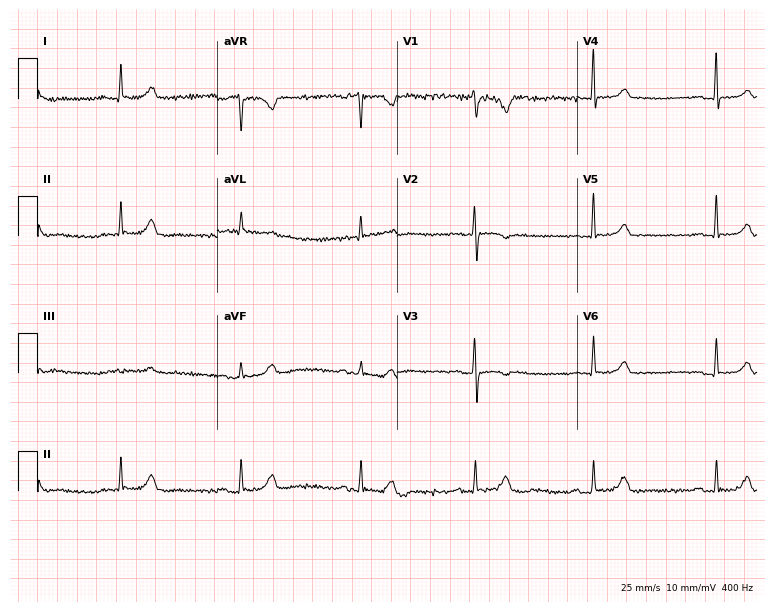
12-lead ECG (7.3-second recording at 400 Hz) from a 65-year-old woman. Screened for six findings — first-degree AV block, right bundle branch block, left bundle branch block, sinus bradycardia, atrial fibrillation, sinus tachycardia — none is recorded. Findings outside these six are not listed.